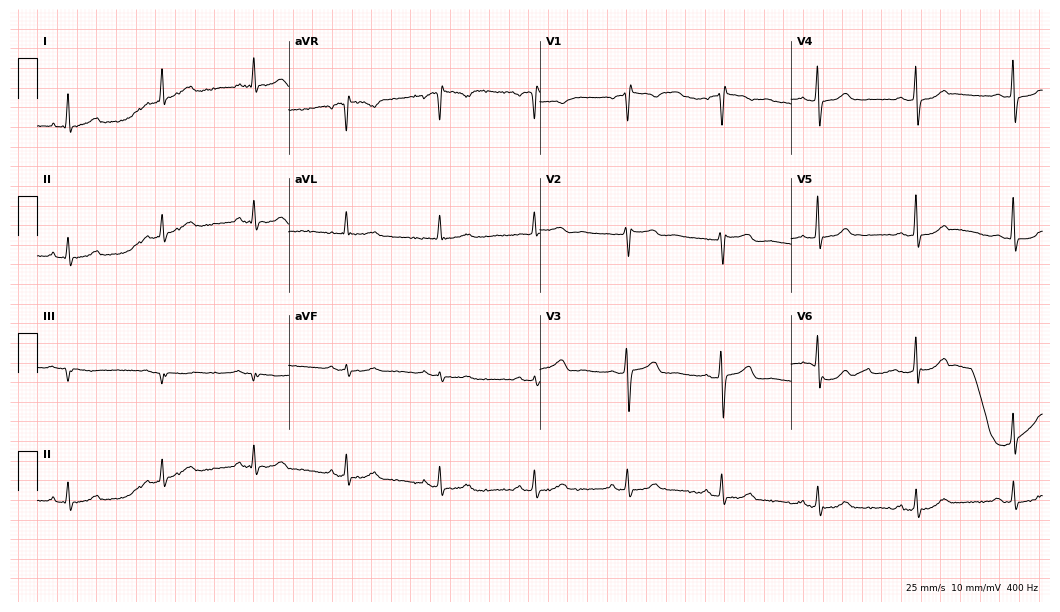
Standard 12-lead ECG recorded from a 54-year-old female patient. None of these six findings is recorded: first-degree AV block, right bundle branch block (RBBB), left bundle branch block (LBBB), sinus bradycardia, atrial fibrillation (AF), sinus tachycardia. Findings outside these six are not listed.